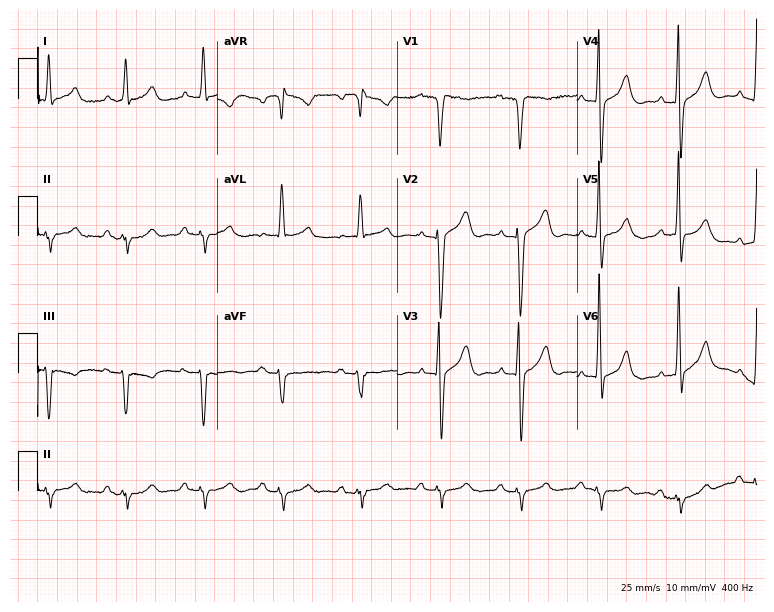
12-lead ECG from a 61-year-old male patient. No first-degree AV block, right bundle branch block, left bundle branch block, sinus bradycardia, atrial fibrillation or sinus tachycardia recorded for this tracing.